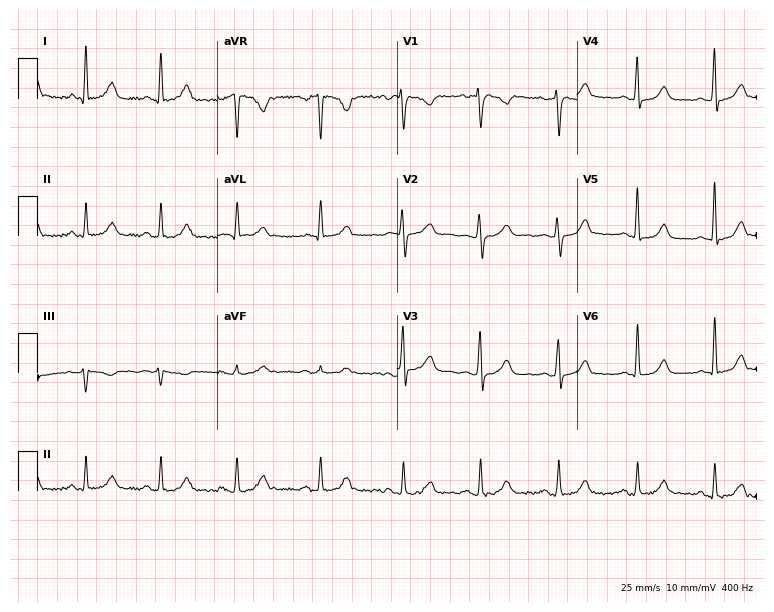
ECG — a female, 48 years old. Screened for six findings — first-degree AV block, right bundle branch block, left bundle branch block, sinus bradycardia, atrial fibrillation, sinus tachycardia — none is recorded.